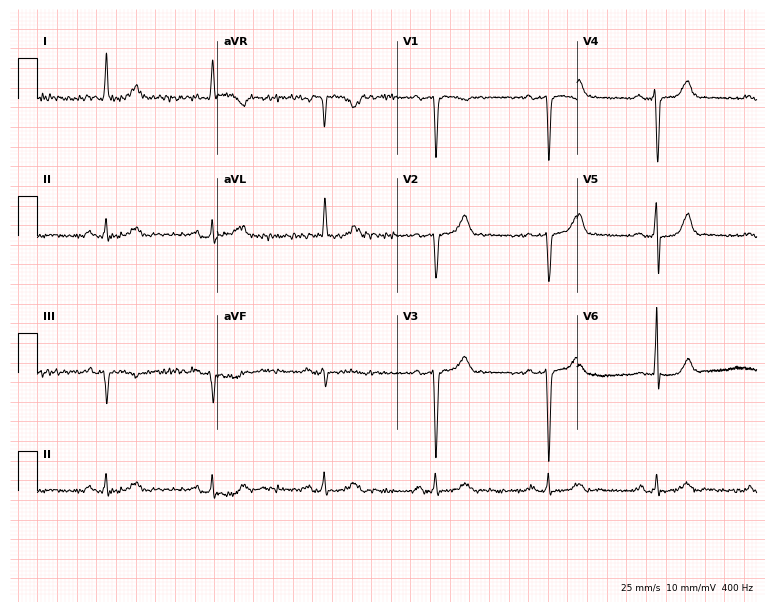
Resting 12-lead electrocardiogram (7.3-second recording at 400 Hz). Patient: a man, 62 years old. None of these six findings is recorded: first-degree AV block, right bundle branch block, left bundle branch block, sinus bradycardia, atrial fibrillation, sinus tachycardia.